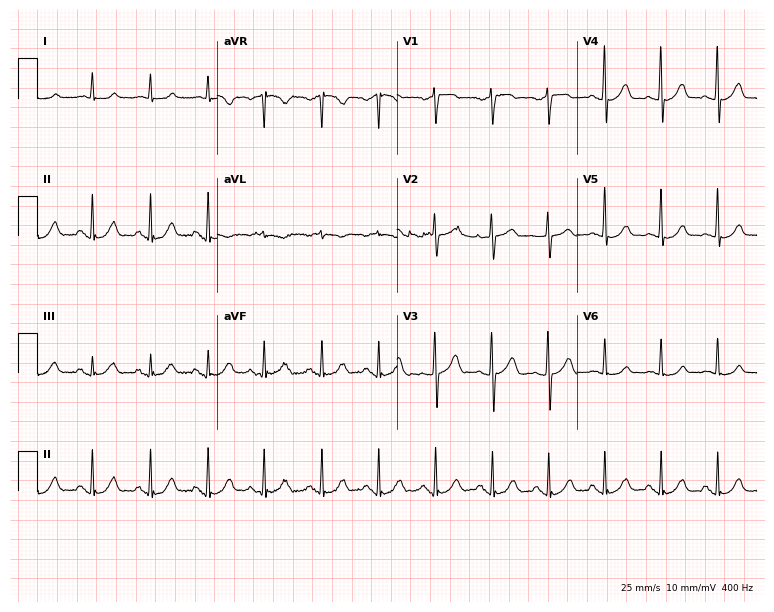
Resting 12-lead electrocardiogram. Patient: a male, 74 years old. The tracing shows sinus tachycardia (a sinus rate of 100 beats per minute or more).